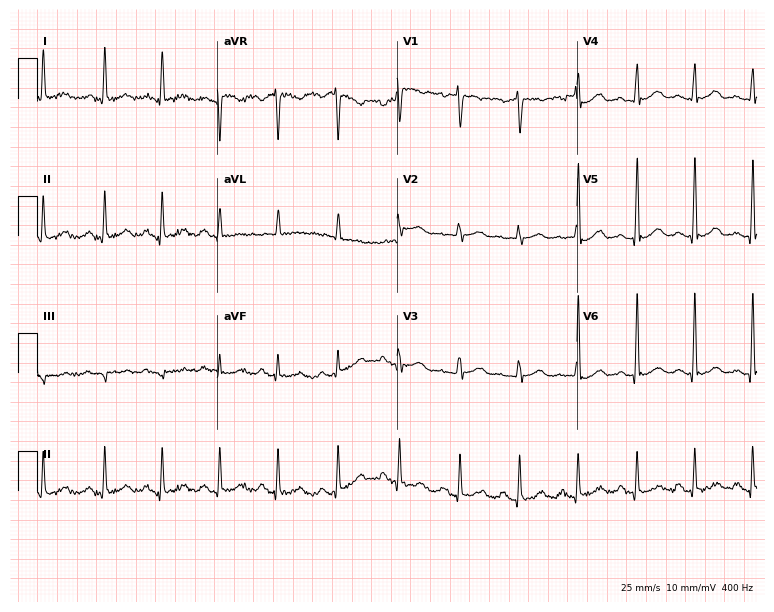
12-lead ECG (7.3-second recording at 400 Hz) from a woman, 59 years old. Findings include sinus tachycardia (a sinus rate of 100 beats per minute or more).